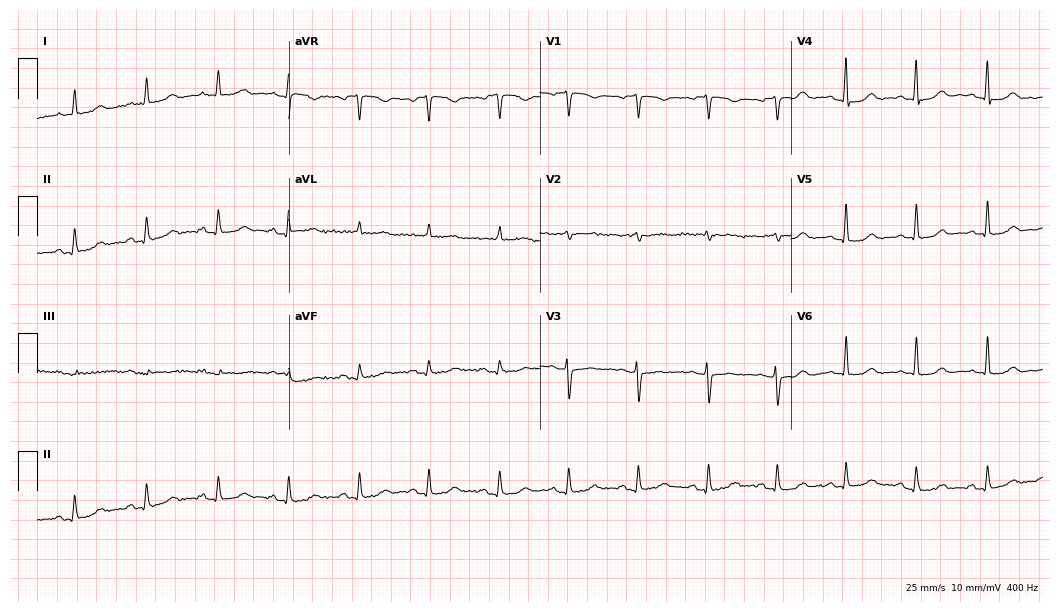
ECG (10.2-second recording at 400 Hz) — a female, 67 years old. Screened for six findings — first-degree AV block, right bundle branch block, left bundle branch block, sinus bradycardia, atrial fibrillation, sinus tachycardia — none is recorded. Other findings, if any, are not listed.